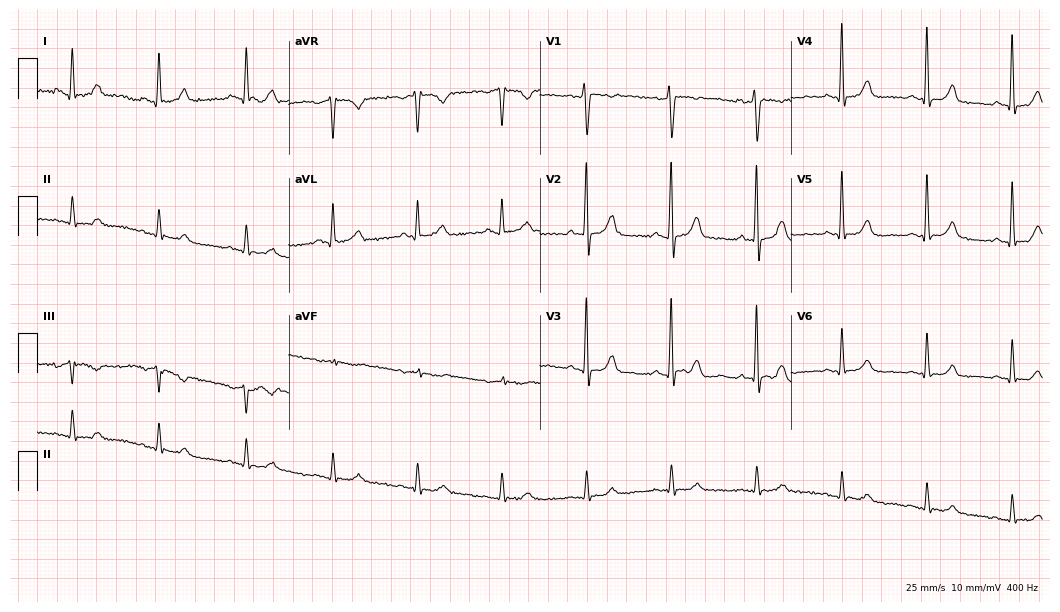
12-lead ECG (10.2-second recording at 400 Hz) from a 68-year-old male. Labelled as a normal ECG.